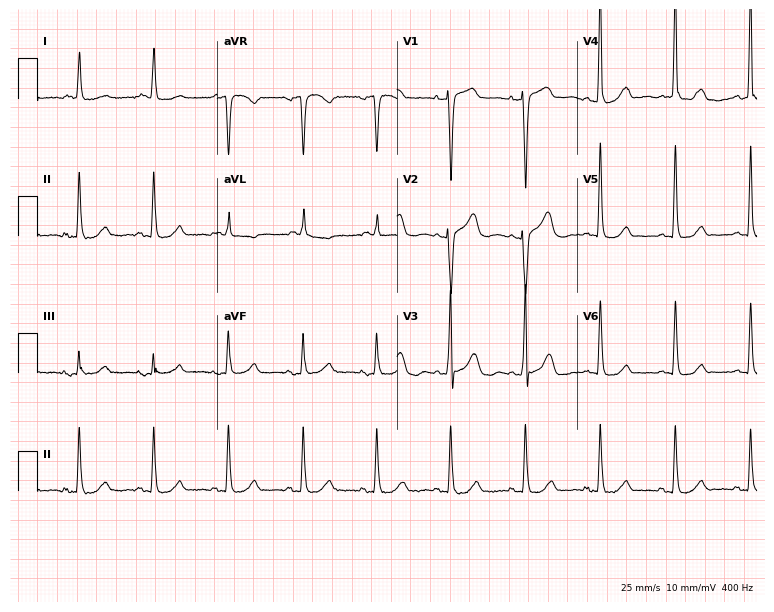
12-lead ECG (7.3-second recording at 400 Hz) from a 67-year-old female. Labelled as a normal ECG.